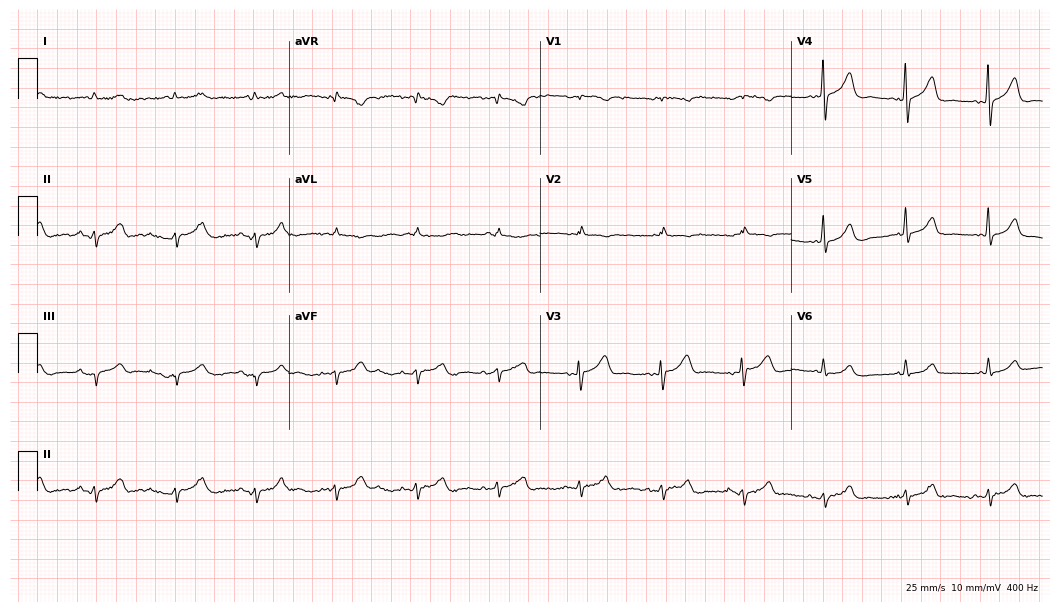
ECG — a male patient, 60 years old. Screened for six findings — first-degree AV block, right bundle branch block, left bundle branch block, sinus bradycardia, atrial fibrillation, sinus tachycardia — none is recorded. Only these six findings were labelled.